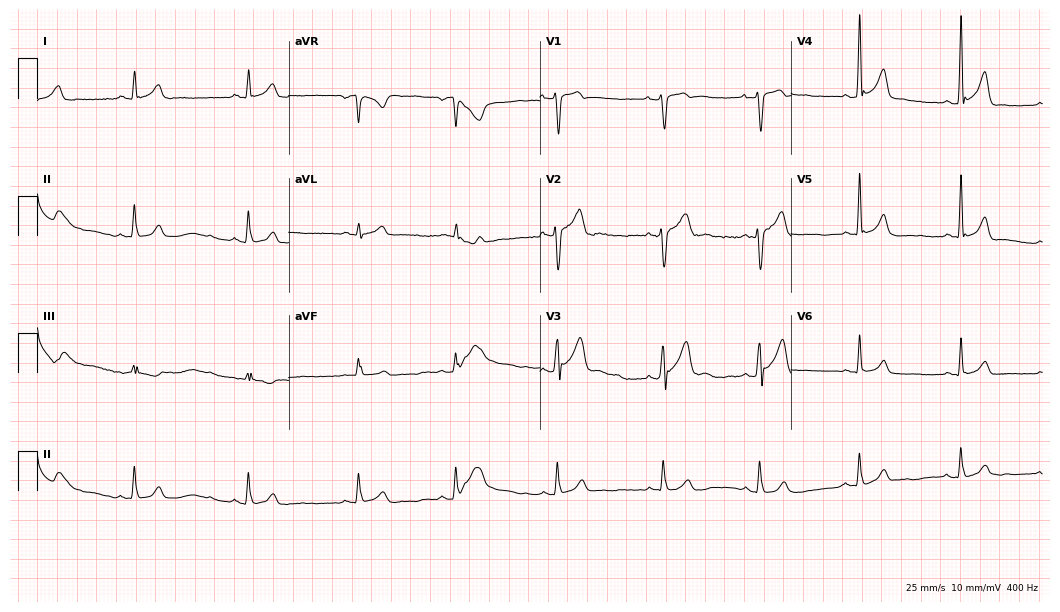
12-lead ECG from a male patient, 26 years old. Recorded interpretation: within normal limits.